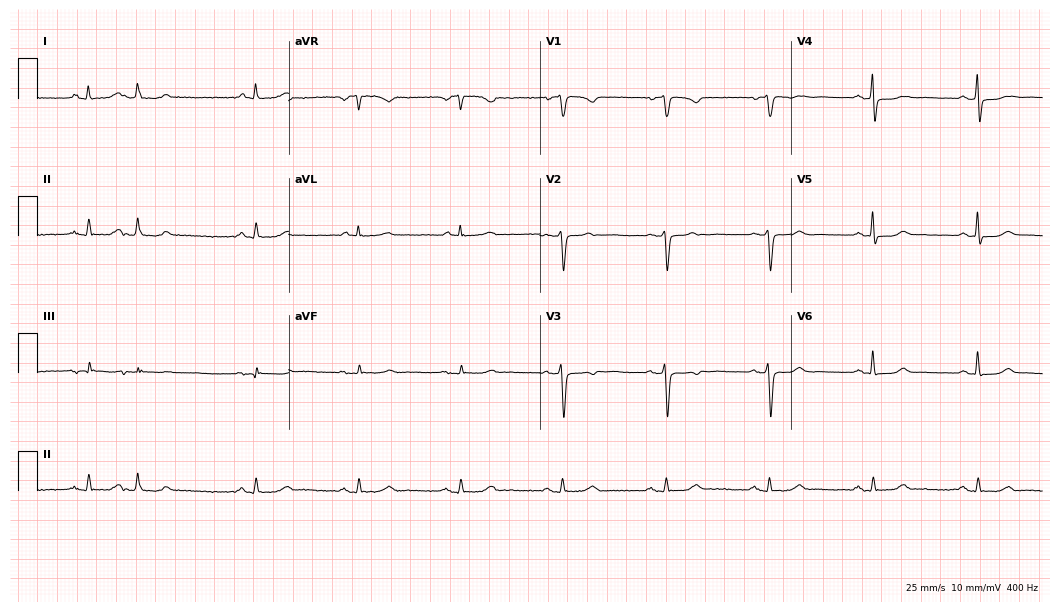
Electrocardiogram, a 59-year-old female patient. Overall reading on record: normal ECG.